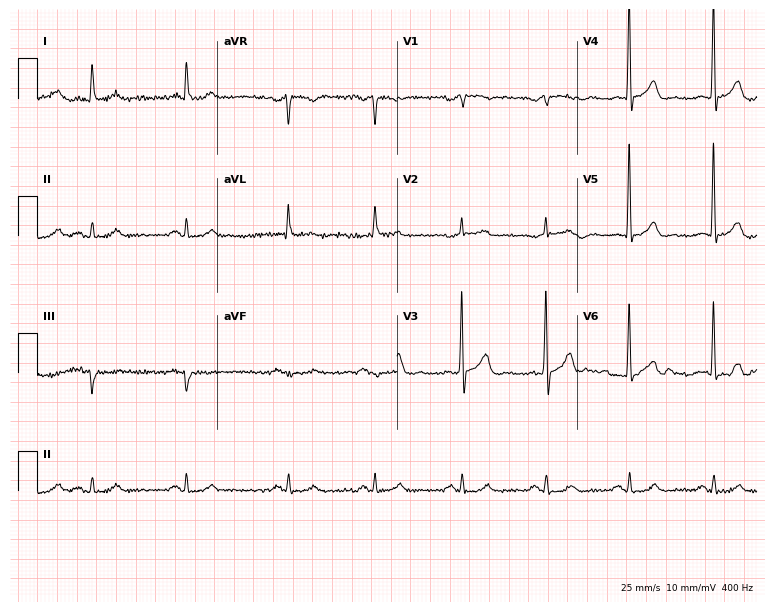
ECG (7.3-second recording at 400 Hz) — a female patient, 80 years old. Labelled as a normal ECG.